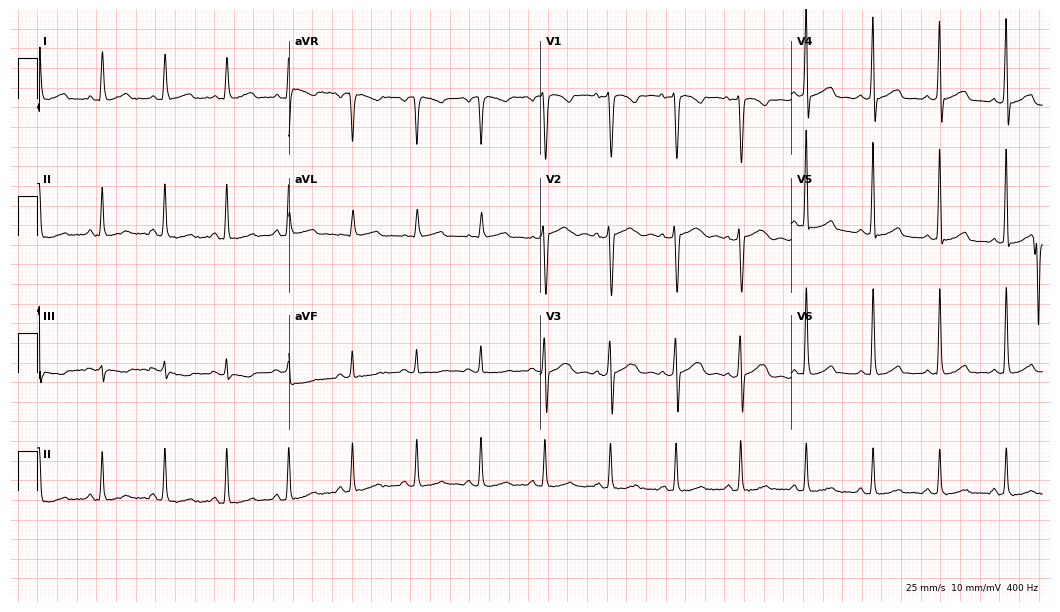
12-lead ECG from a 40-year-old female. Recorded interpretation: within normal limits.